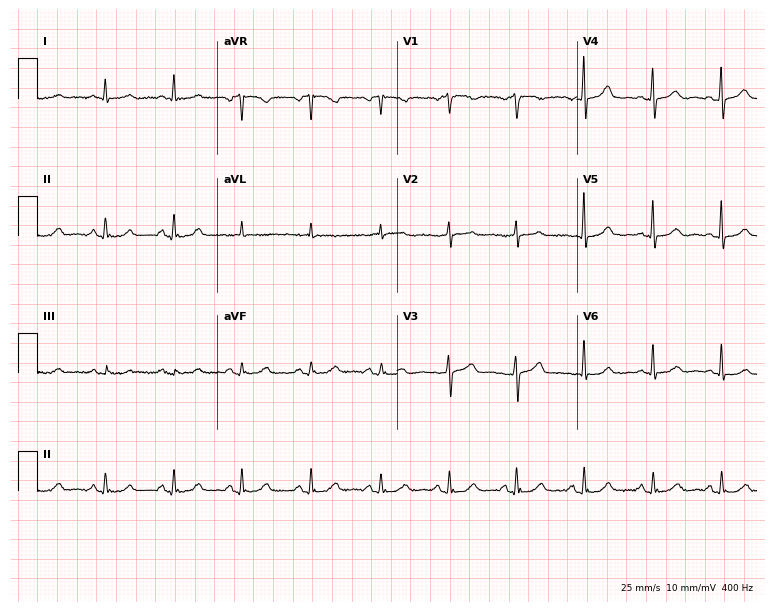
12-lead ECG from a 70-year-old female patient. Labelled as a normal ECG.